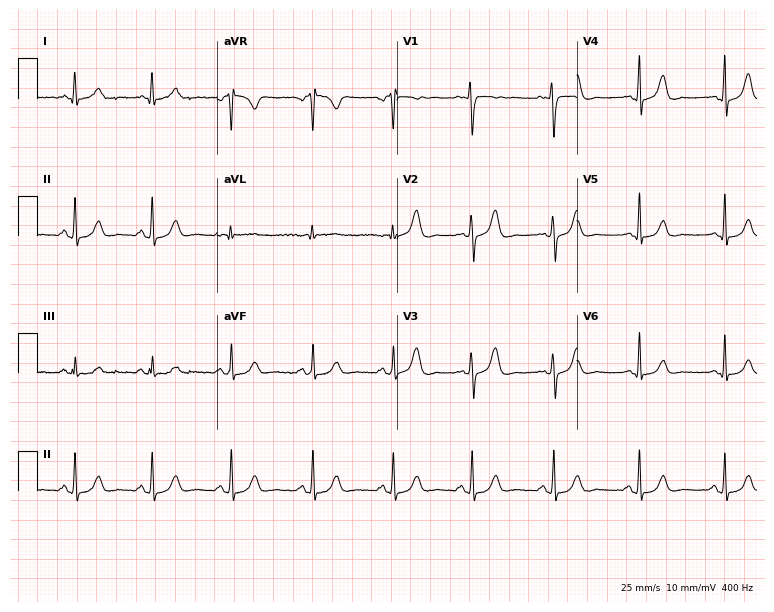
12-lead ECG from a 21-year-old woman. Labelled as a normal ECG.